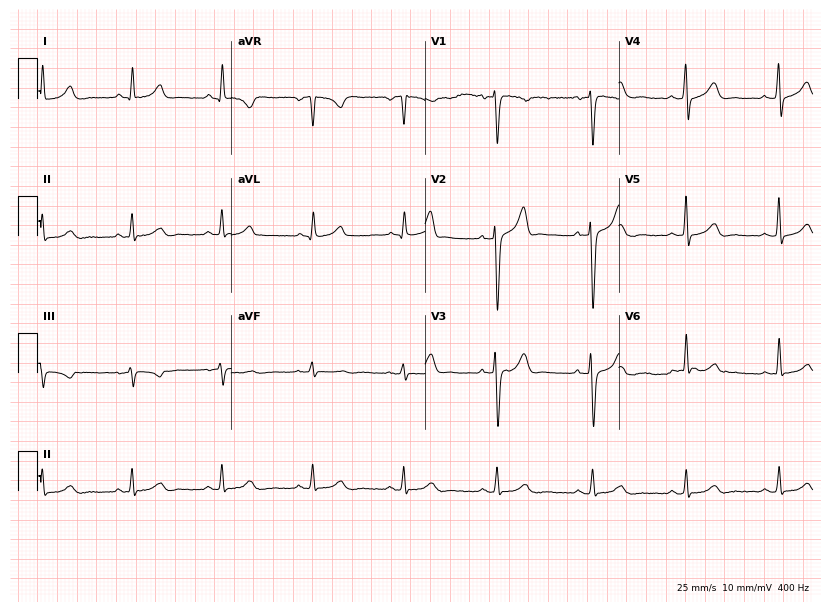
ECG — a male, 50 years old. Labelled as a normal ECG.